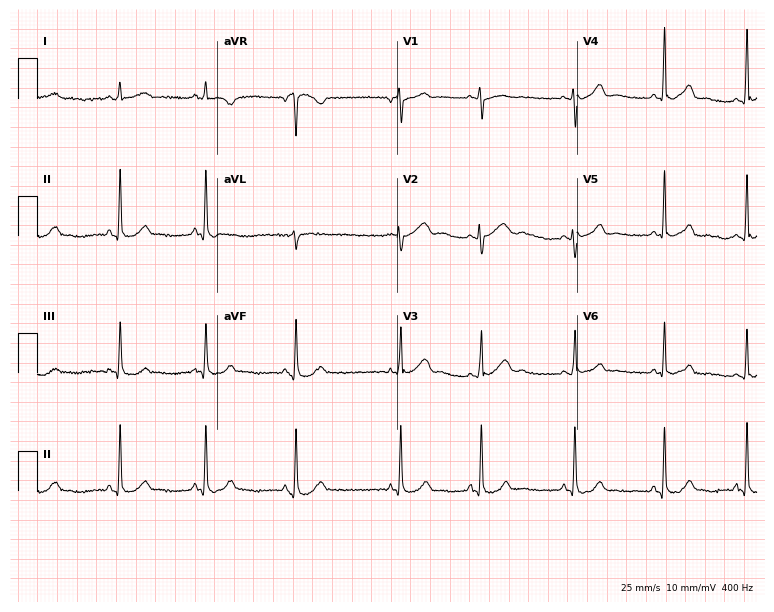
12-lead ECG (7.3-second recording at 400 Hz) from a 20-year-old female. Labelled as a normal ECG.